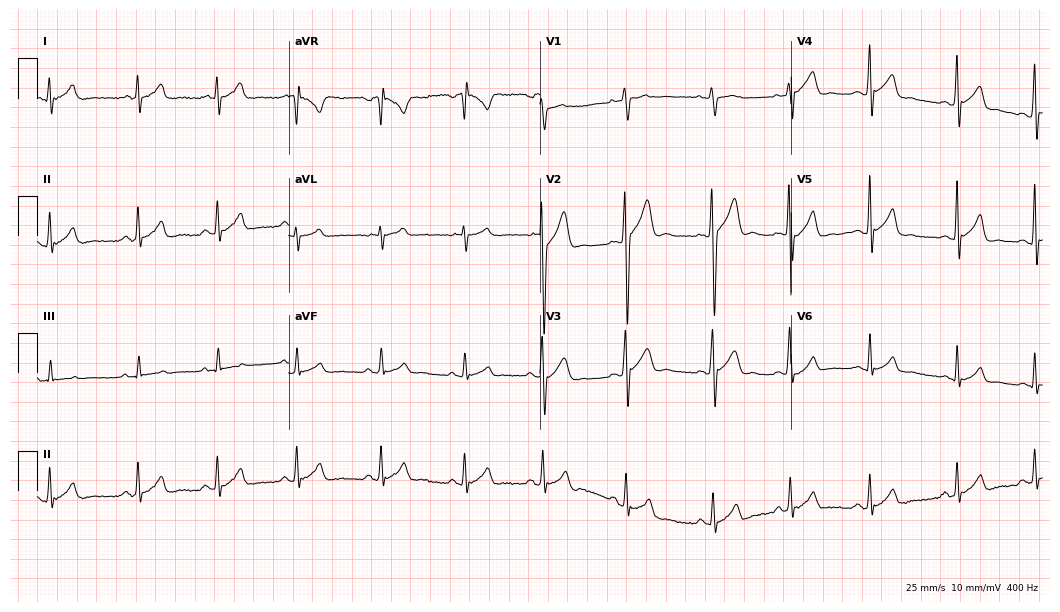
Standard 12-lead ECG recorded from a 17-year-old male patient (10.2-second recording at 400 Hz). Read as a normal ECG.